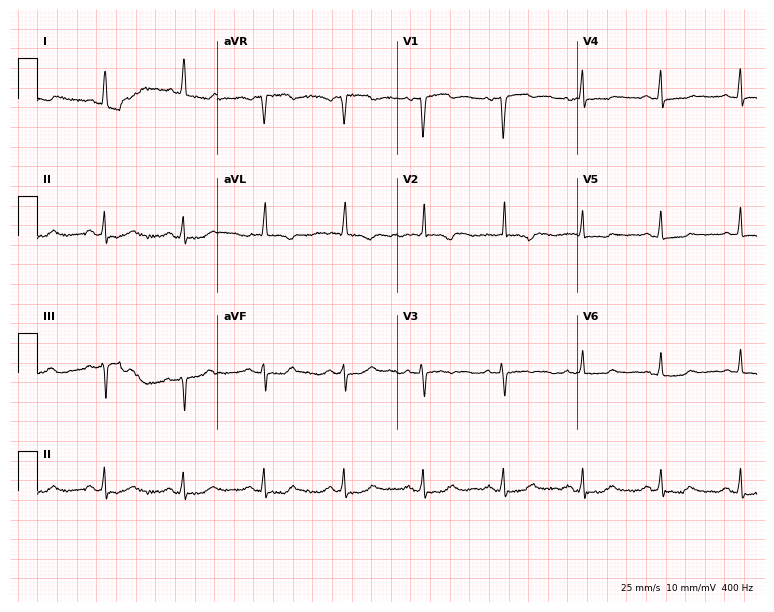
Resting 12-lead electrocardiogram (7.3-second recording at 400 Hz). Patient: a female, 81 years old. None of these six findings is recorded: first-degree AV block, right bundle branch block (RBBB), left bundle branch block (LBBB), sinus bradycardia, atrial fibrillation (AF), sinus tachycardia. Other findings, if any, are not listed.